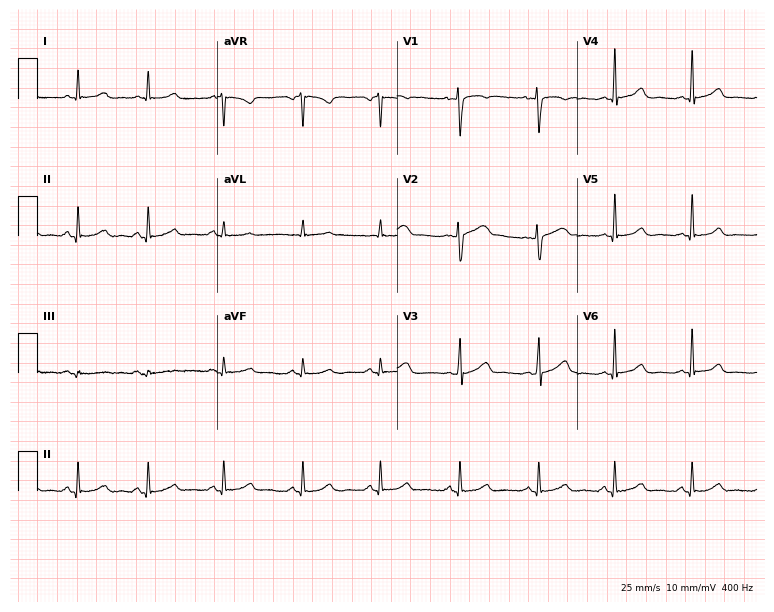
12-lead ECG from a 40-year-old female (7.3-second recording at 400 Hz). Recorded interpretation: within normal limits.